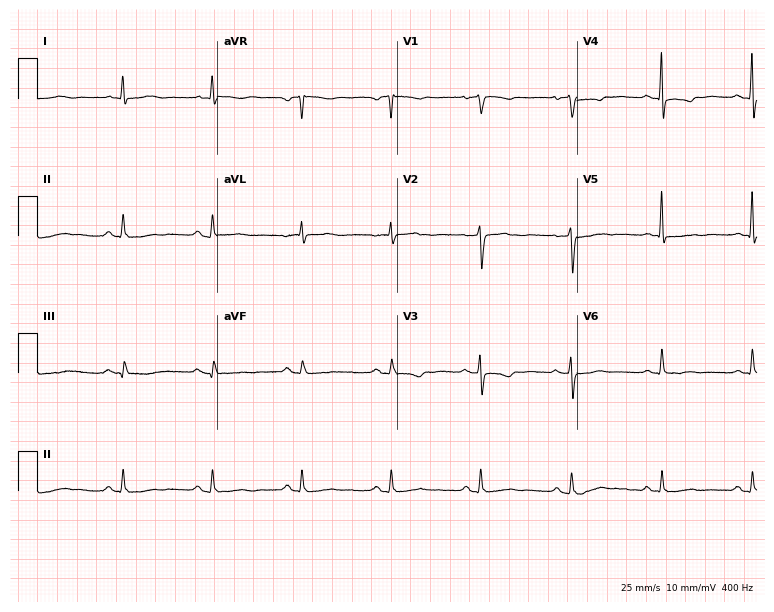
Electrocardiogram (7.3-second recording at 400 Hz), a woman, 73 years old. Of the six screened findings (first-degree AV block, right bundle branch block, left bundle branch block, sinus bradycardia, atrial fibrillation, sinus tachycardia), none is recorded.